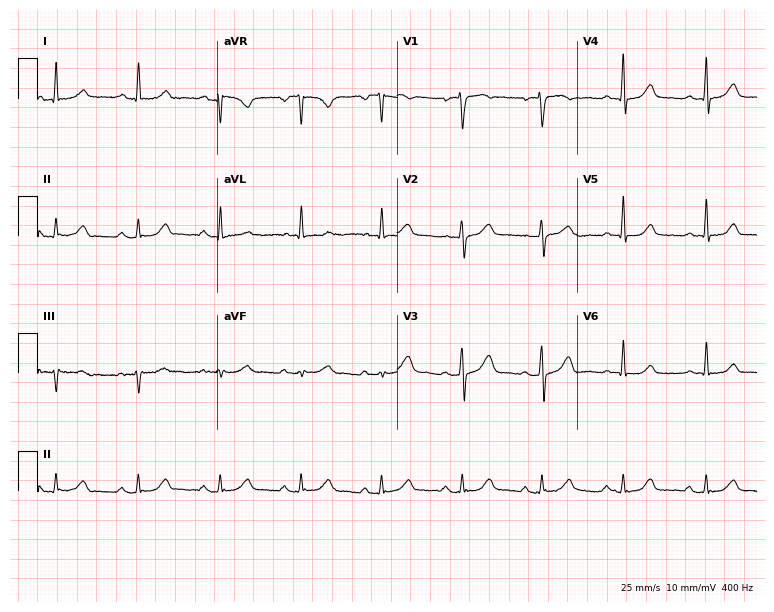
Standard 12-lead ECG recorded from a female, 72 years old (7.3-second recording at 400 Hz). Read as a normal ECG.